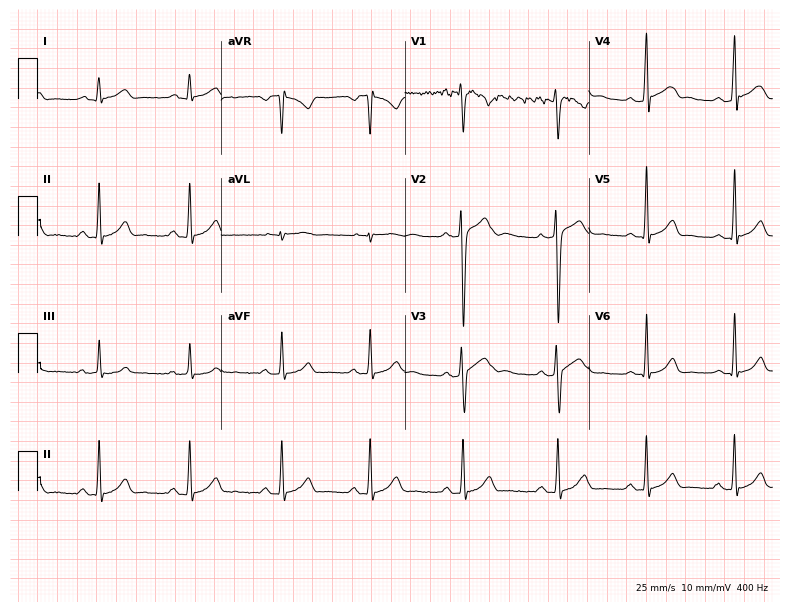
12-lead ECG from an 18-year-old male. Screened for six findings — first-degree AV block, right bundle branch block, left bundle branch block, sinus bradycardia, atrial fibrillation, sinus tachycardia — none is recorded.